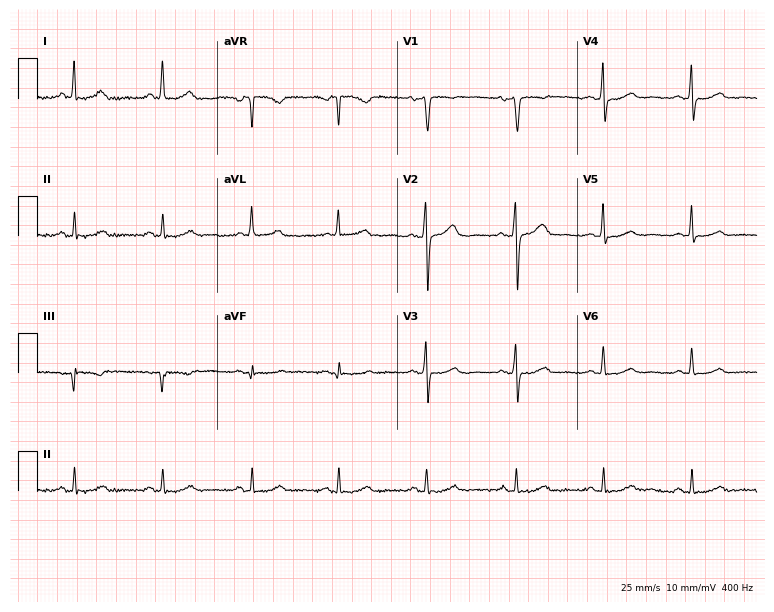
Resting 12-lead electrocardiogram. Patient: a woman, 70 years old. None of these six findings is recorded: first-degree AV block, right bundle branch block (RBBB), left bundle branch block (LBBB), sinus bradycardia, atrial fibrillation (AF), sinus tachycardia.